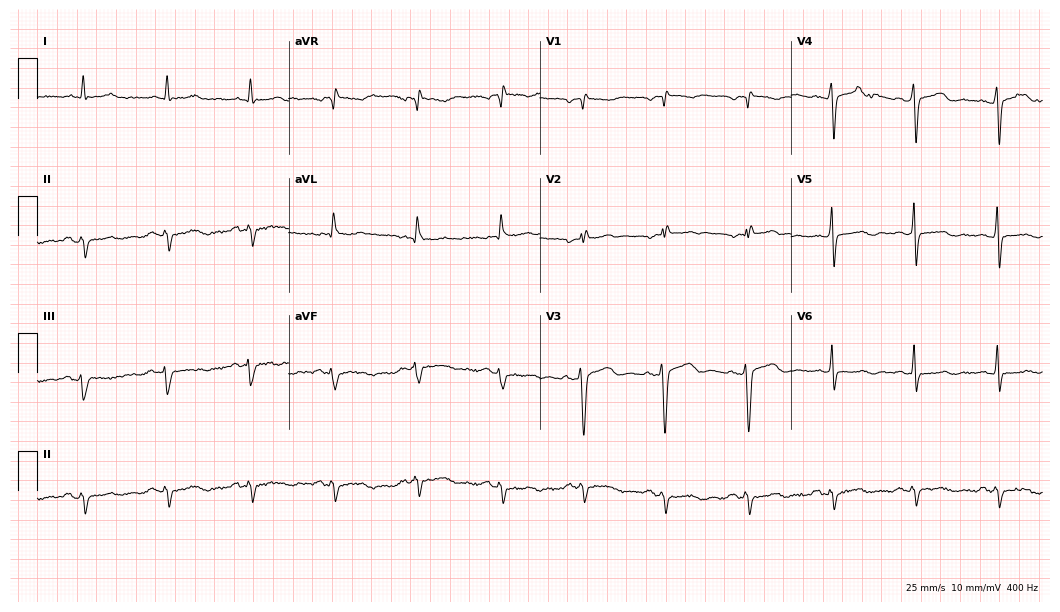
Electrocardiogram, a man, 62 years old. Of the six screened findings (first-degree AV block, right bundle branch block, left bundle branch block, sinus bradycardia, atrial fibrillation, sinus tachycardia), none is recorded. Findings outside these six are not listed.